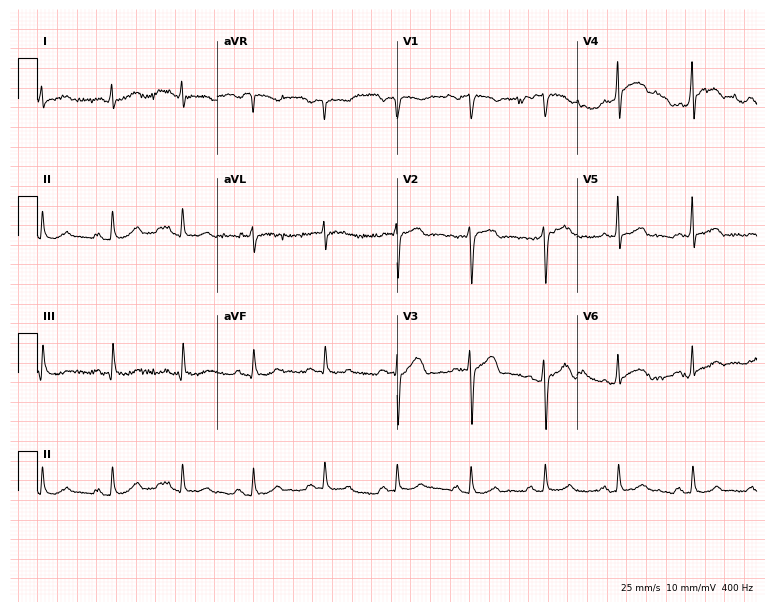
Electrocardiogram (7.3-second recording at 400 Hz), a male patient, 56 years old. Overall reading on record: normal ECG.